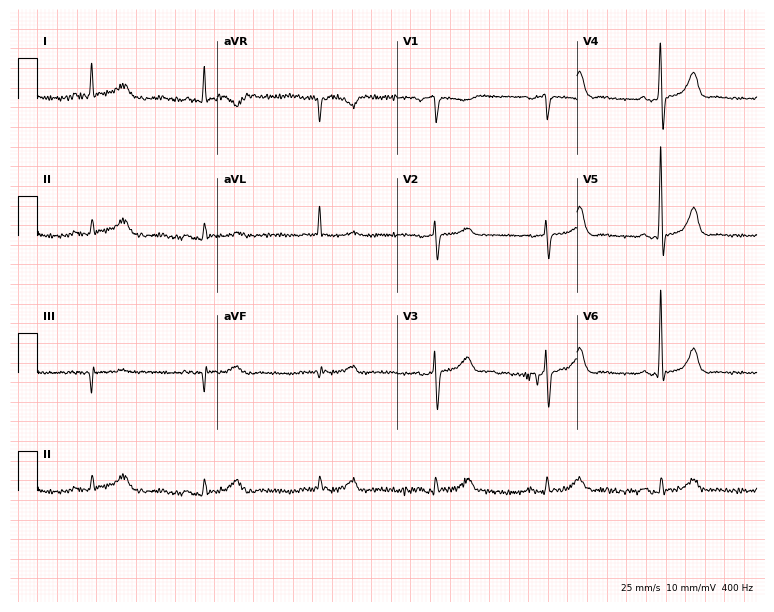
Resting 12-lead electrocardiogram. Patient: a man, 69 years old. Read as a normal ECG.